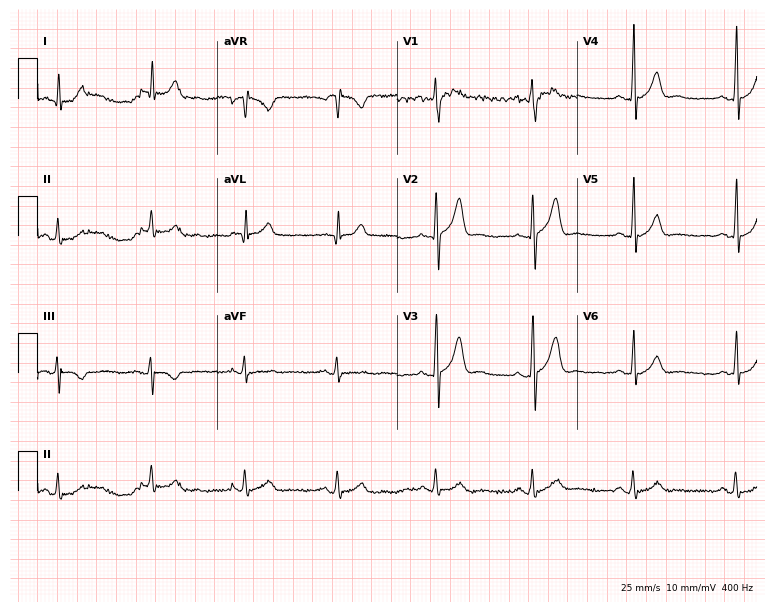
12-lead ECG (7.3-second recording at 400 Hz) from a 32-year-old male. Labelled as a normal ECG.